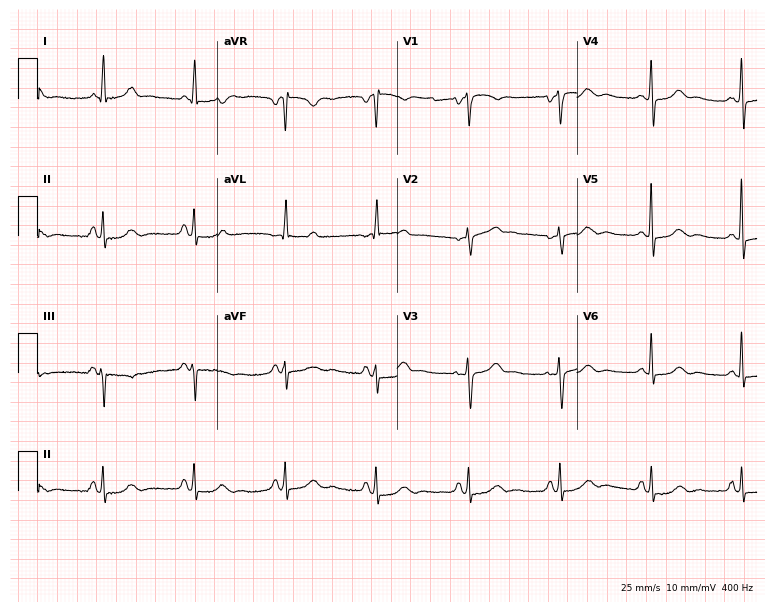
Electrocardiogram (7.3-second recording at 400 Hz), a woman, 61 years old. Overall reading on record: normal ECG.